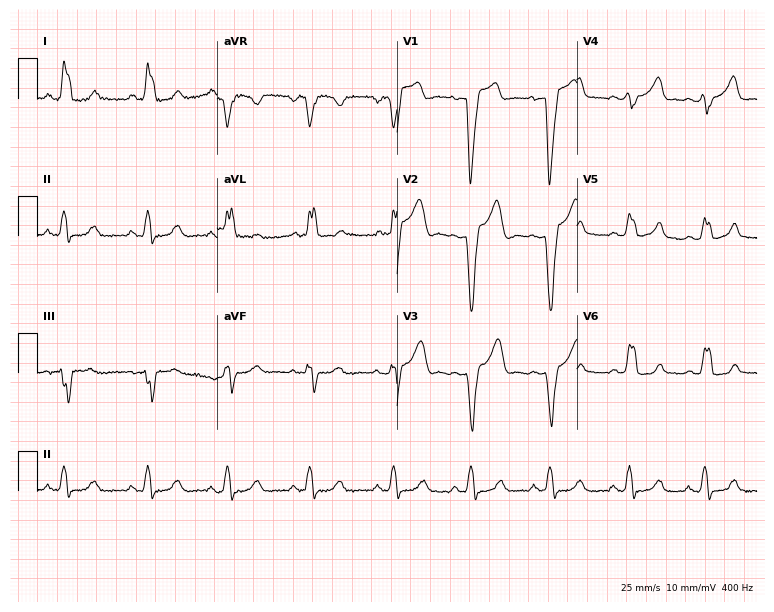
12-lead ECG from a male patient, 33 years old. Shows left bundle branch block (LBBB).